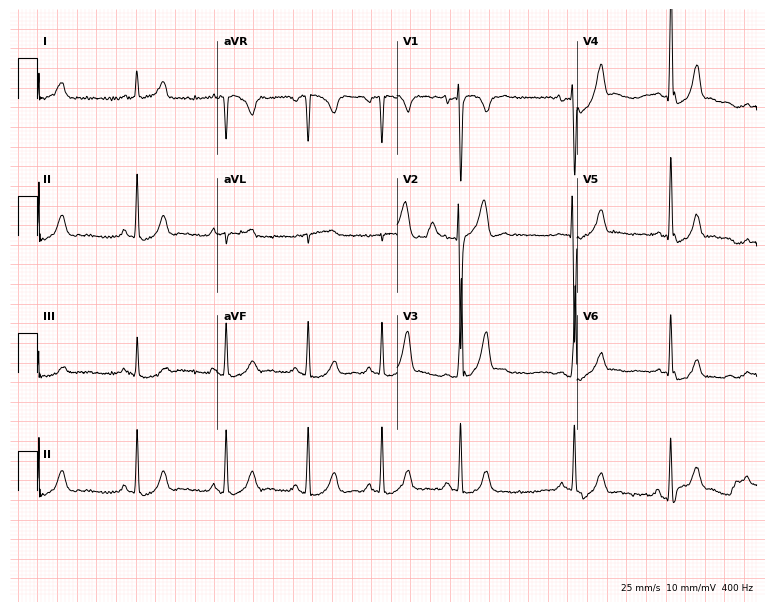
12-lead ECG from a 17-year-old male (7.3-second recording at 400 Hz). Recorded interpretation: within normal limits.